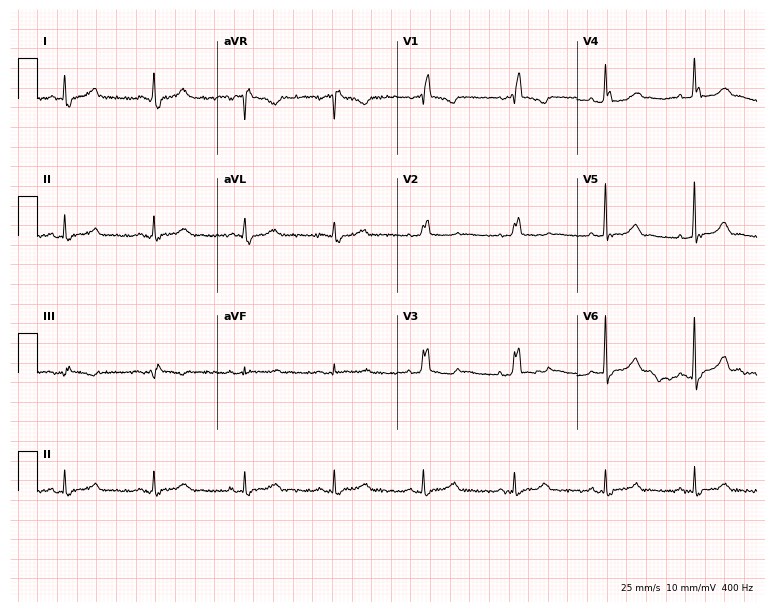
12-lead ECG from a 68-year-old female patient. Findings include right bundle branch block.